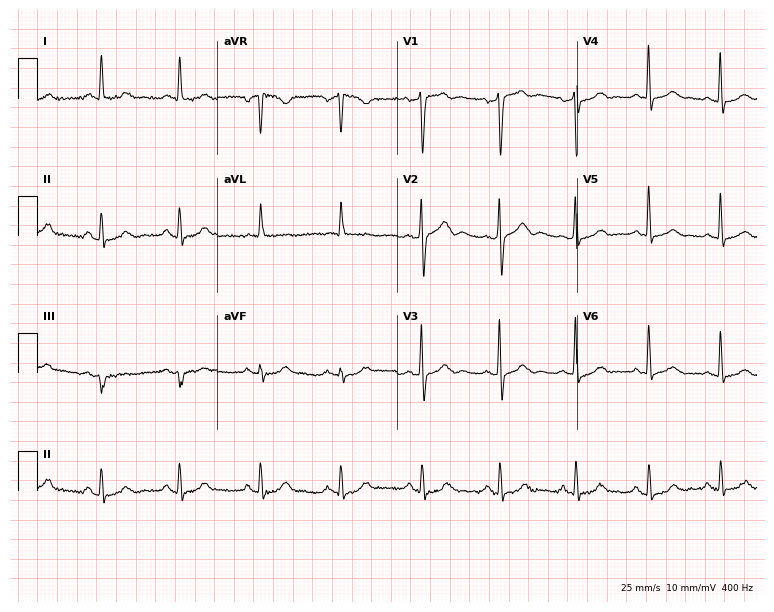
Resting 12-lead electrocardiogram. Patient: a 68-year-old male. Read as a normal ECG.